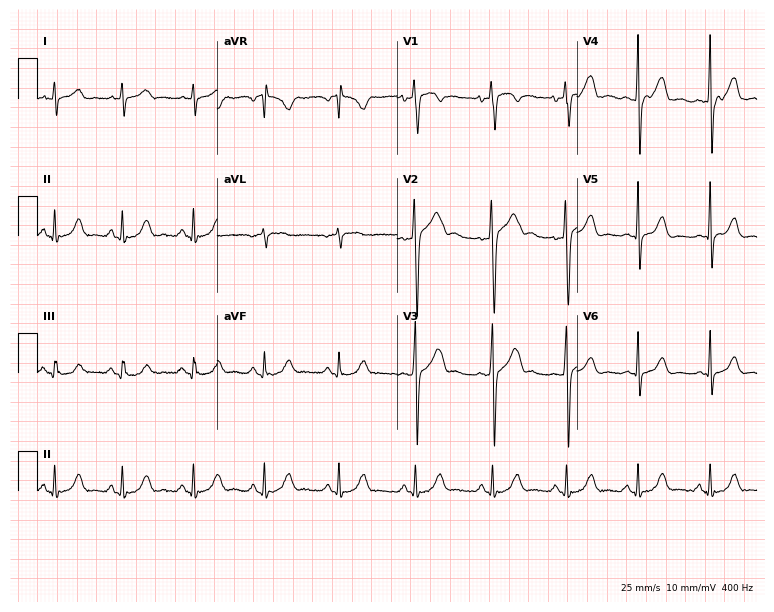
ECG — a male, 34 years old. Labelled as a normal ECG.